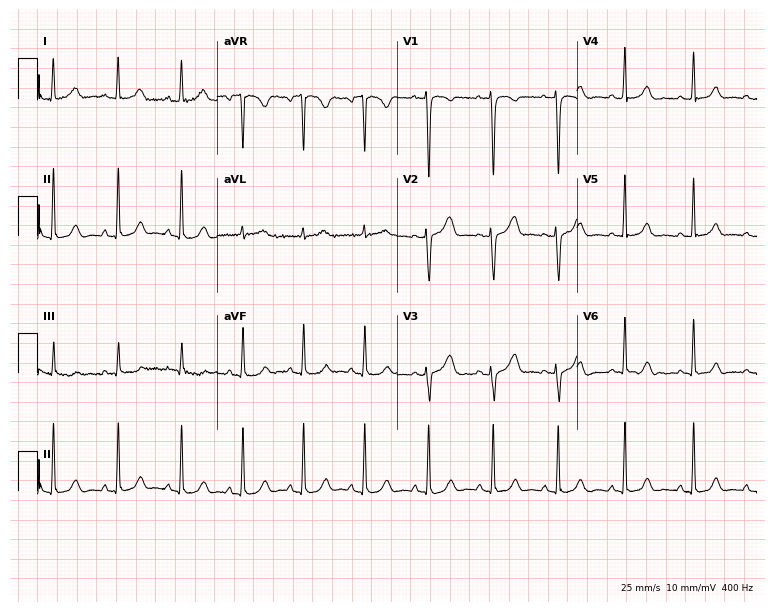
12-lead ECG (7.3-second recording at 400 Hz) from a 19-year-old woman. Labelled as a normal ECG.